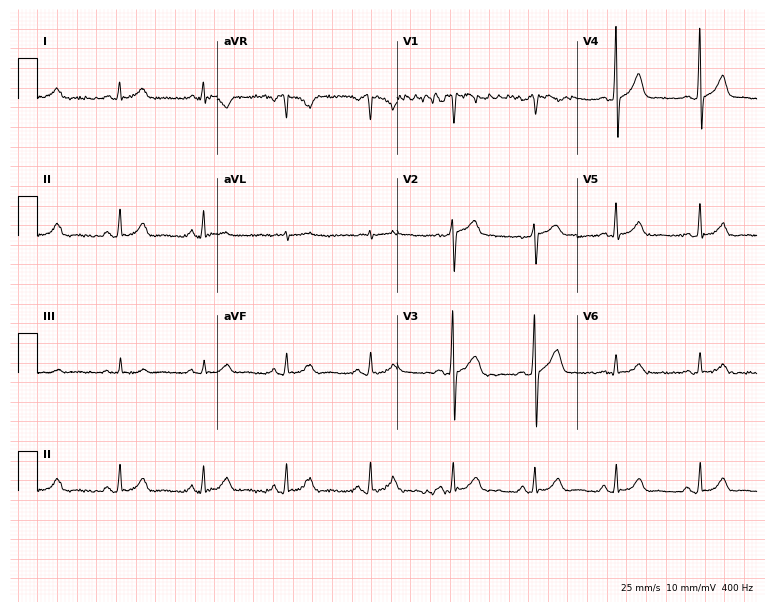
12-lead ECG from a male, 56 years old. Recorded interpretation: within normal limits.